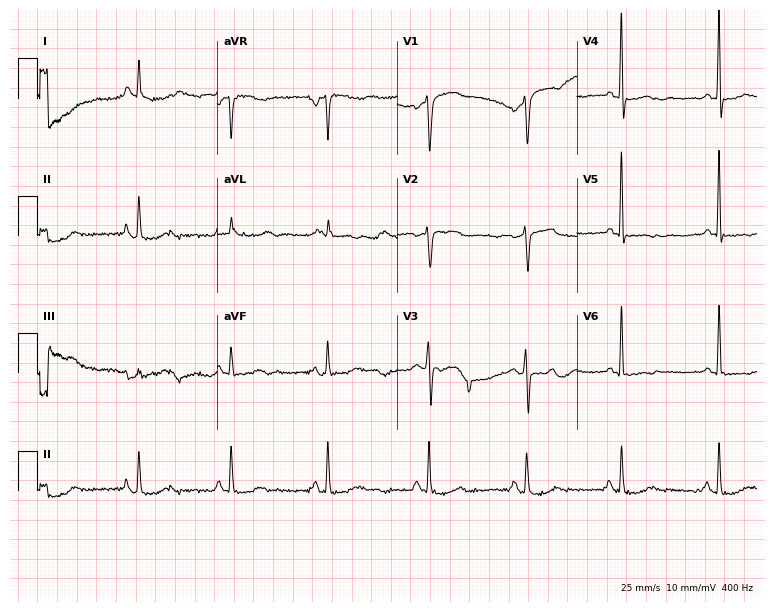
ECG — a woman, 76 years old. Screened for six findings — first-degree AV block, right bundle branch block (RBBB), left bundle branch block (LBBB), sinus bradycardia, atrial fibrillation (AF), sinus tachycardia — none is recorded.